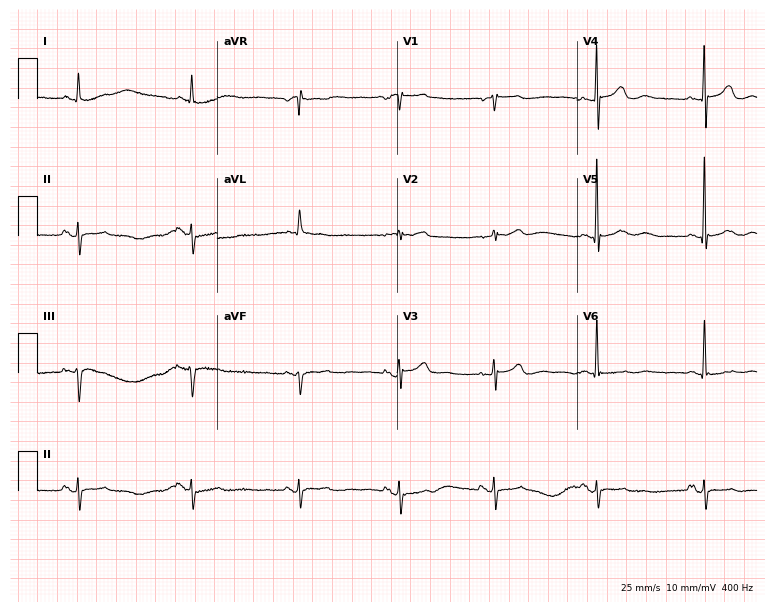
Electrocardiogram (7.3-second recording at 400 Hz), a 78-year-old female. Of the six screened findings (first-degree AV block, right bundle branch block, left bundle branch block, sinus bradycardia, atrial fibrillation, sinus tachycardia), none is recorded.